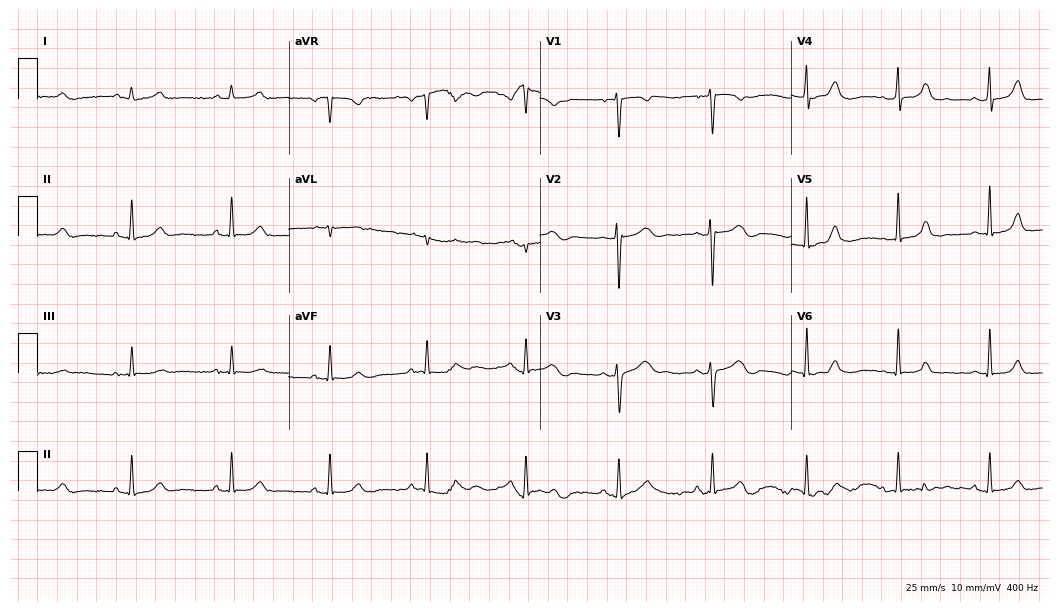
Standard 12-lead ECG recorded from a 35-year-old female patient. Read as a normal ECG.